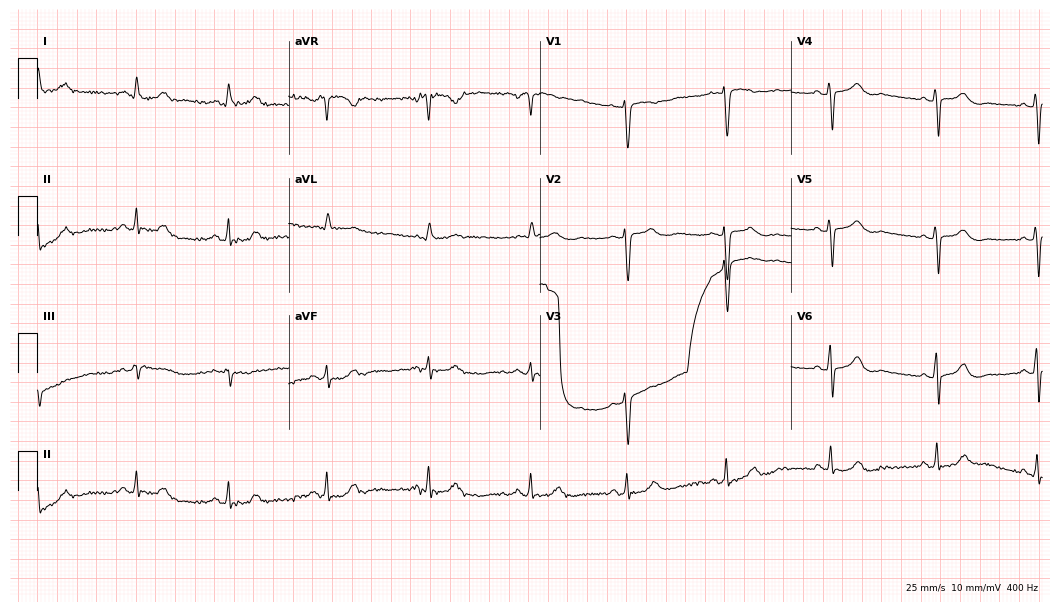
Standard 12-lead ECG recorded from a female, 70 years old. None of these six findings is recorded: first-degree AV block, right bundle branch block, left bundle branch block, sinus bradycardia, atrial fibrillation, sinus tachycardia.